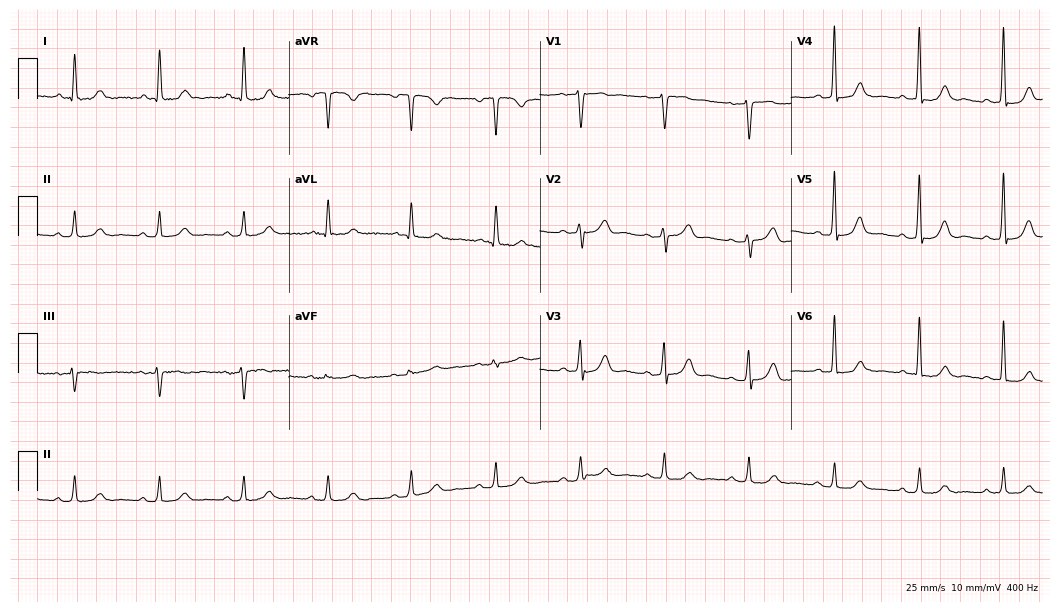
12-lead ECG (10.2-second recording at 400 Hz) from a male patient, 79 years old. Labelled as a normal ECG.